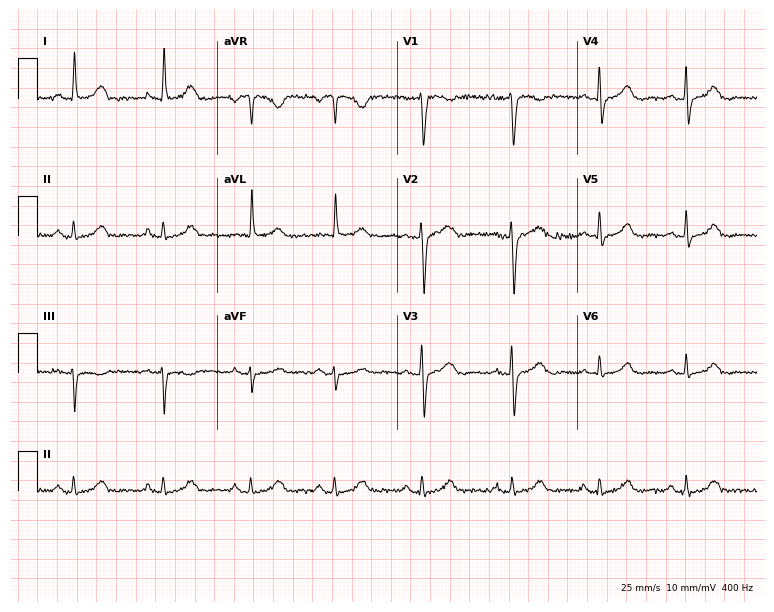
Standard 12-lead ECG recorded from a woman, 65 years old (7.3-second recording at 400 Hz). None of these six findings is recorded: first-degree AV block, right bundle branch block, left bundle branch block, sinus bradycardia, atrial fibrillation, sinus tachycardia.